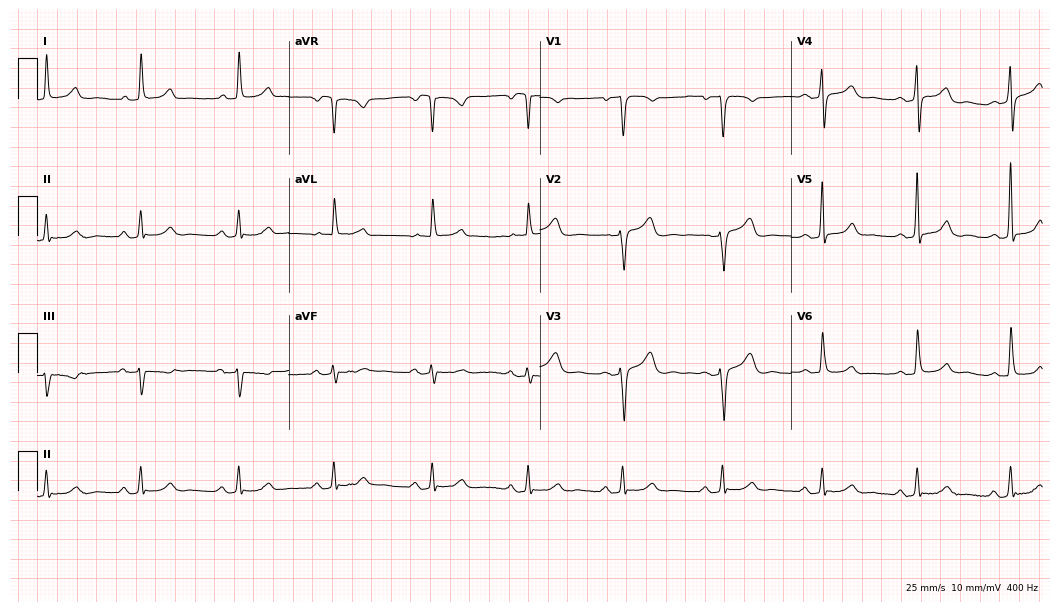
Resting 12-lead electrocardiogram (10.2-second recording at 400 Hz). Patient: a 61-year-old female. Read as a normal ECG.